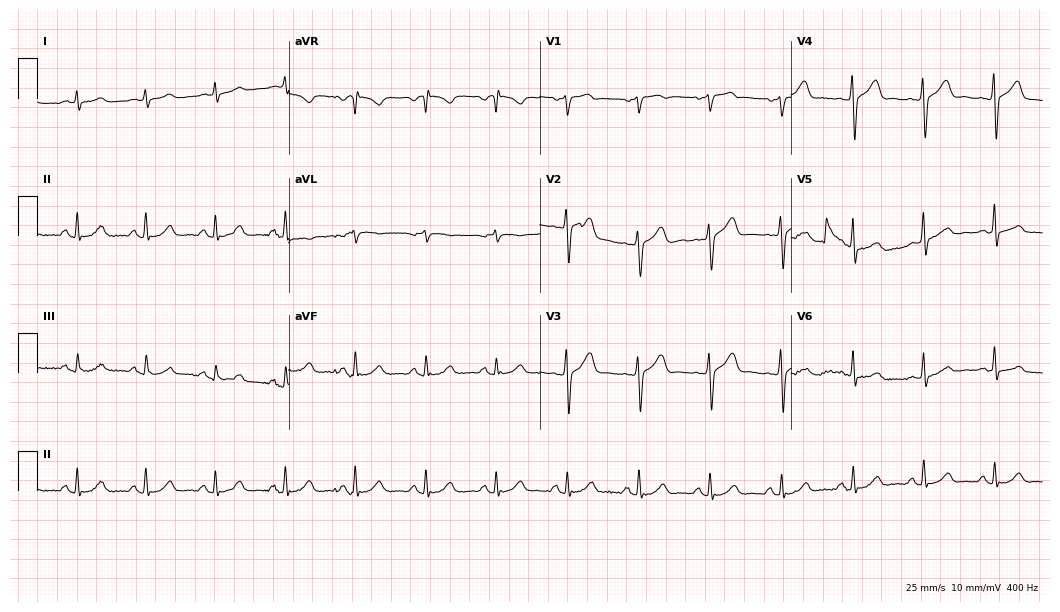
12-lead ECG from a 60-year-old male. Recorded interpretation: within normal limits.